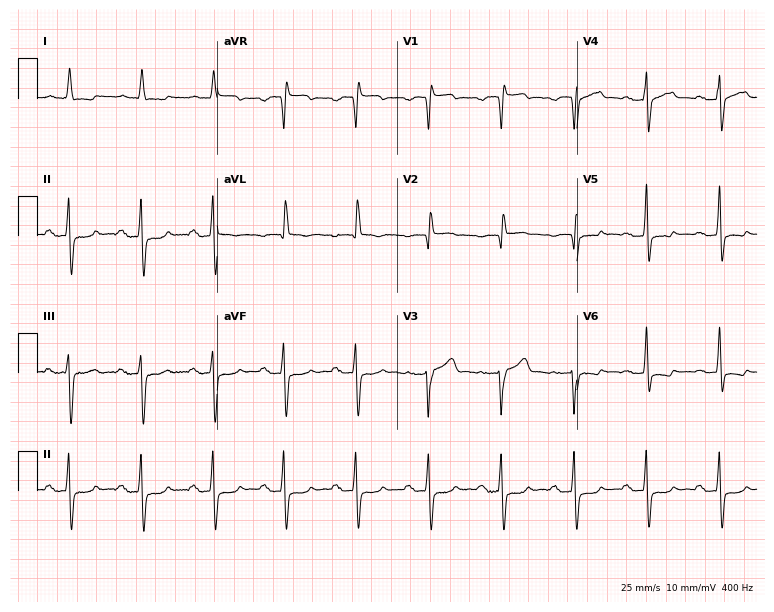
ECG (7.3-second recording at 400 Hz) — an 81-year-old man. Labelled as a normal ECG.